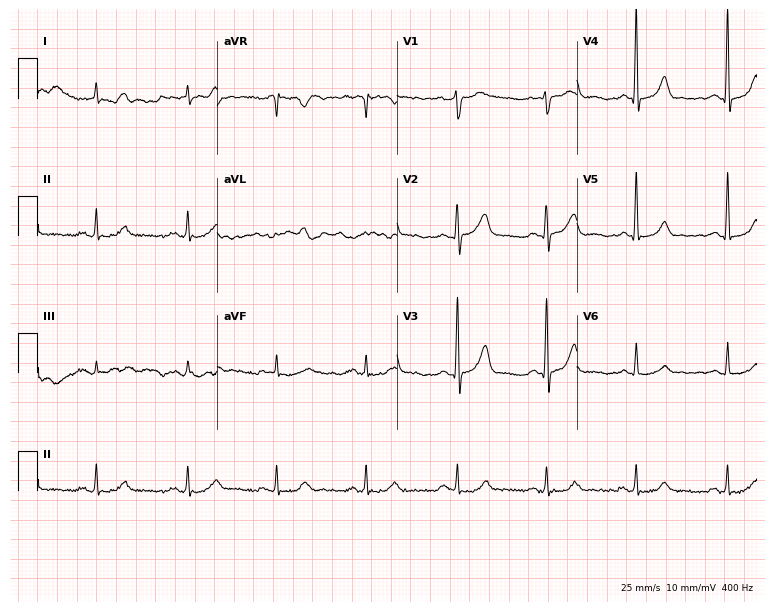
Resting 12-lead electrocardiogram. Patient: a 65-year-old male. None of these six findings is recorded: first-degree AV block, right bundle branch block, left bundle branch block, sinus bradycardia, atrial fibrillation, sinus tachycardia.